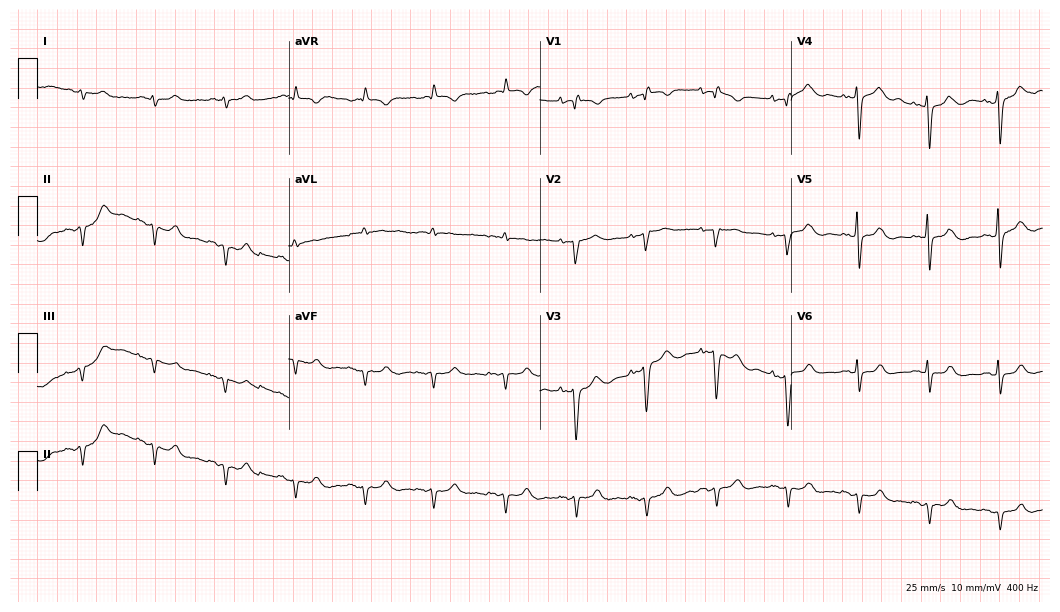
Electrocardiogram (10.2-second recording at 400 Hz), a 69-year-old woman. Of the six screened findings (first-degree AV block, right bundle branch block, left bundle branch block, sinus bradycardia, atrial fibrillation, sinus tachycardia), none is recorded.